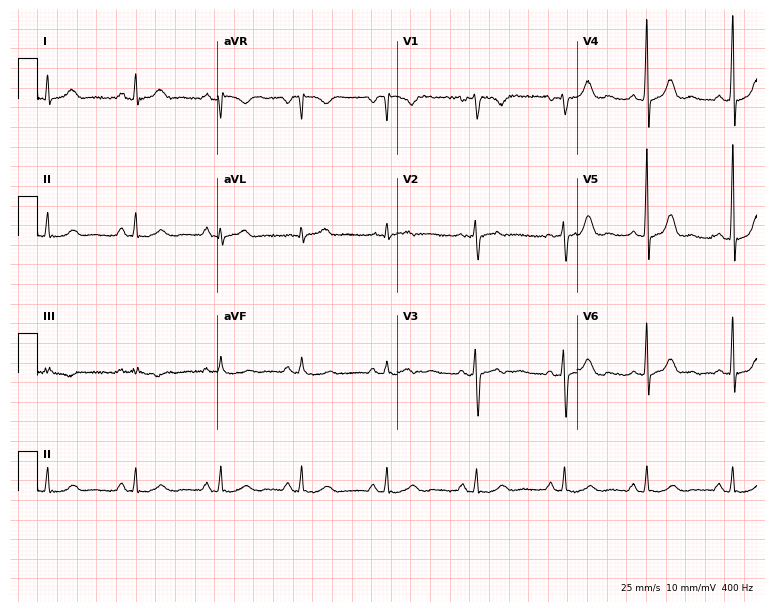
12-lead ECG from a woman, 31 years old (7.3-second recording at 400 Hz). No first-degree AV block, right bundle branch block (RBBB), left bundle branch block (LBBB), sinus bradycardia, atrial fibrillation (AF) or sinus tachycardia recorded for this tracing.